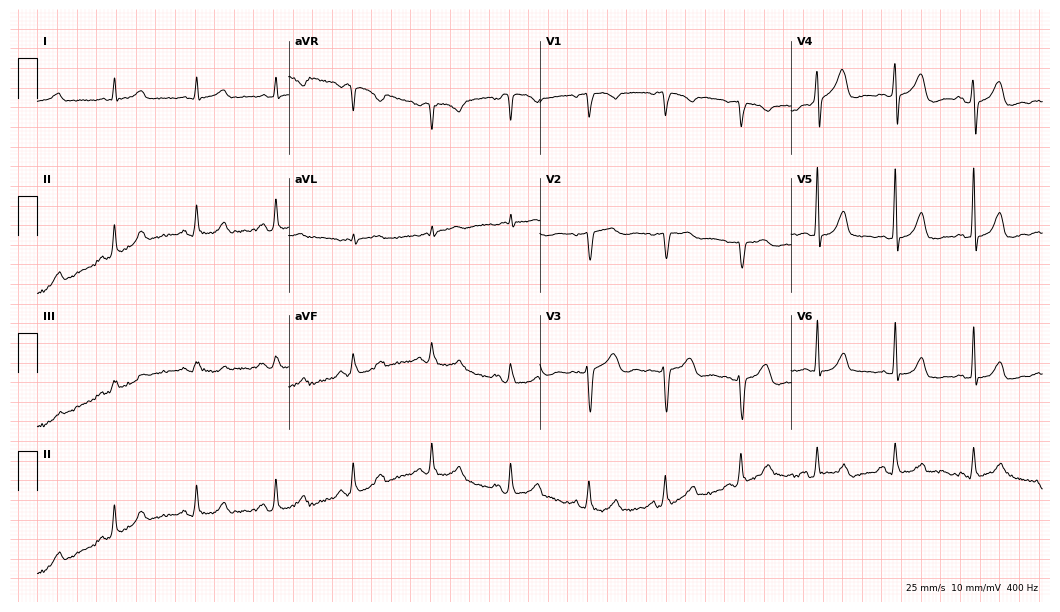
Standard 12-lead ECG recorded from a 44-year-old woman. Read as a normal ECG.